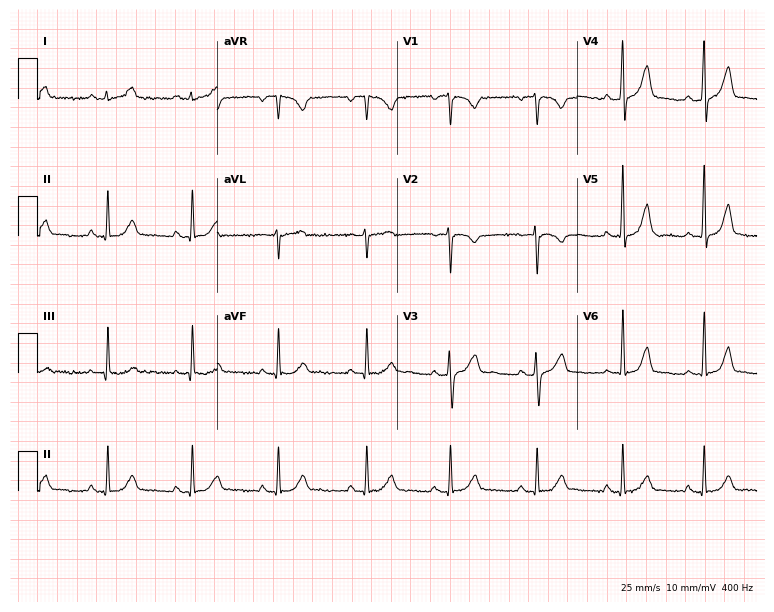
Electrocardiogram (7.3-second recording at 400 Hz), a 42-year-old female patient. Overall reading on record: normal ECG.